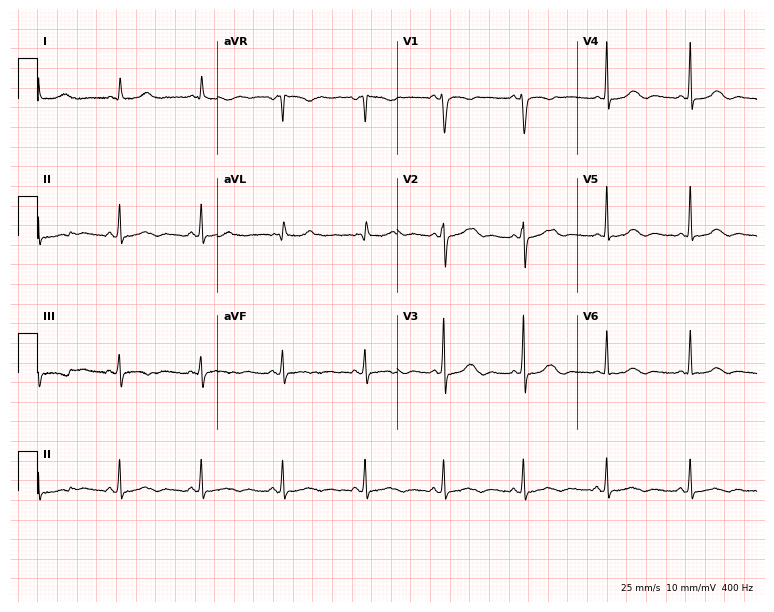
12-lead ECG from a 52-year-old female. Labelled as a normal ECG.